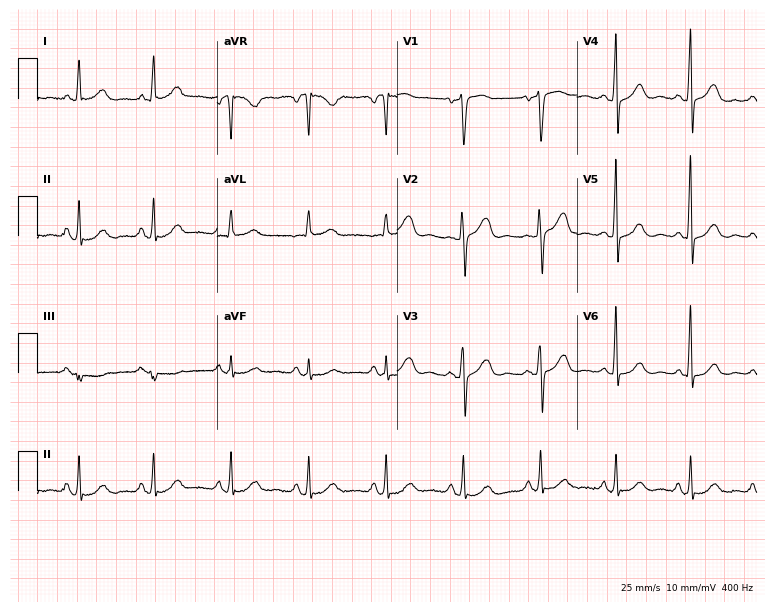
12-lead ECG from a 63-year-old female. Recorded interpretation: within normal limits.